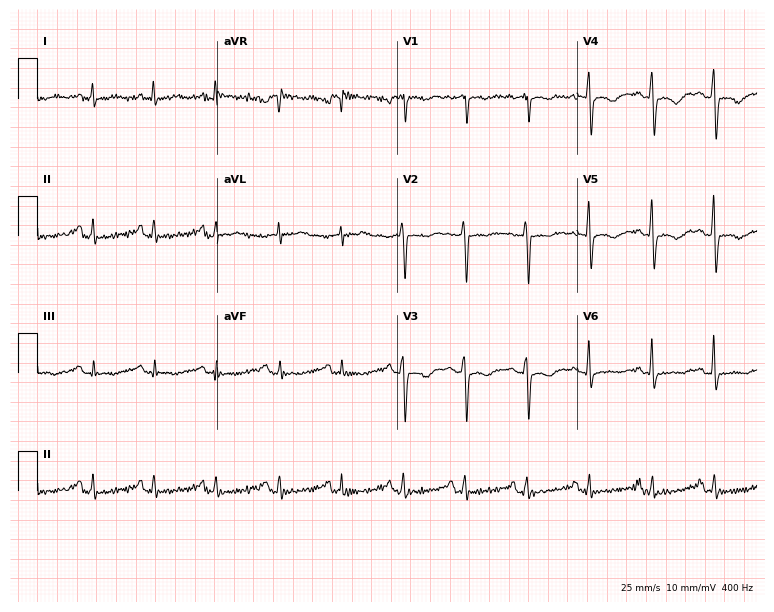
Resting 12-lead electrocardiogram (7.3-second recording at 400 Hz). Patient: a woman, 67 years old. None of these six findings is recorded: first-degree AV block, right bundle branch block (RBBB), left bundle branch block (LBBB), sinus bradycardia, atrial fibrillation (AF), sinus tachycardia.